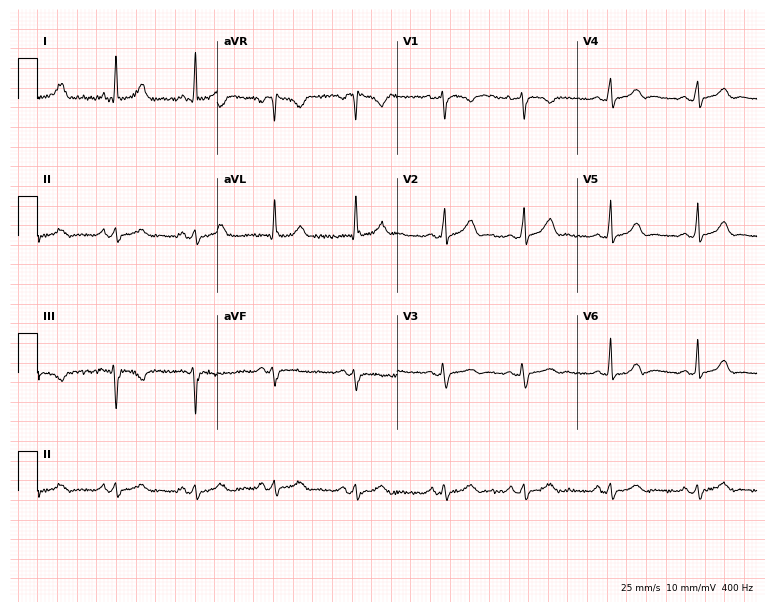
12-lead ECG (7.3-second recording at 400 Hz) from a woman, 40 years old. Labelled as a normal ECG.